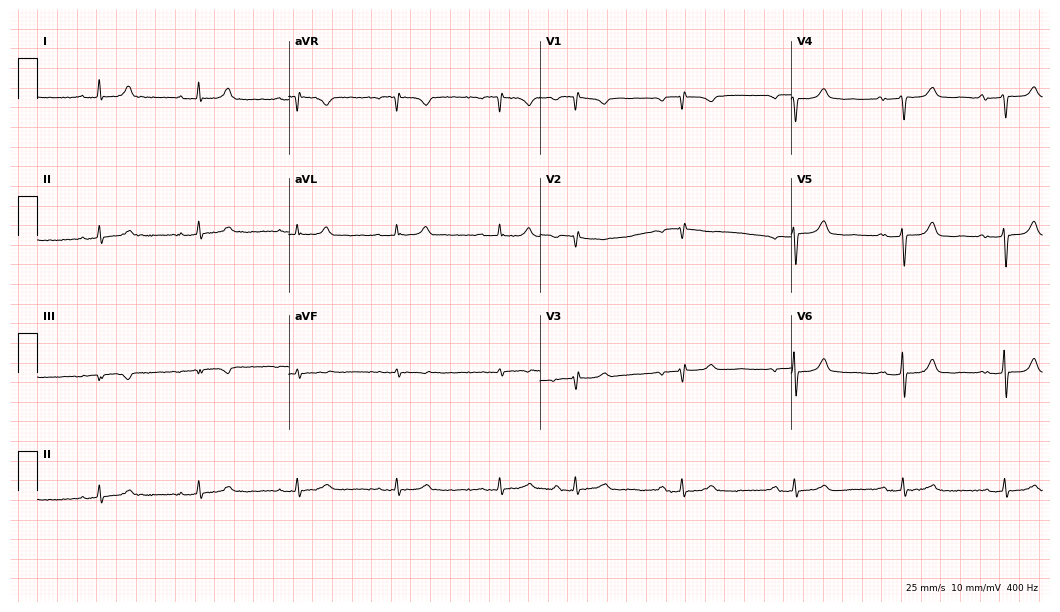
Electrocardiogram, a 77-year-old female. Interpretation includes first-degree AV block.